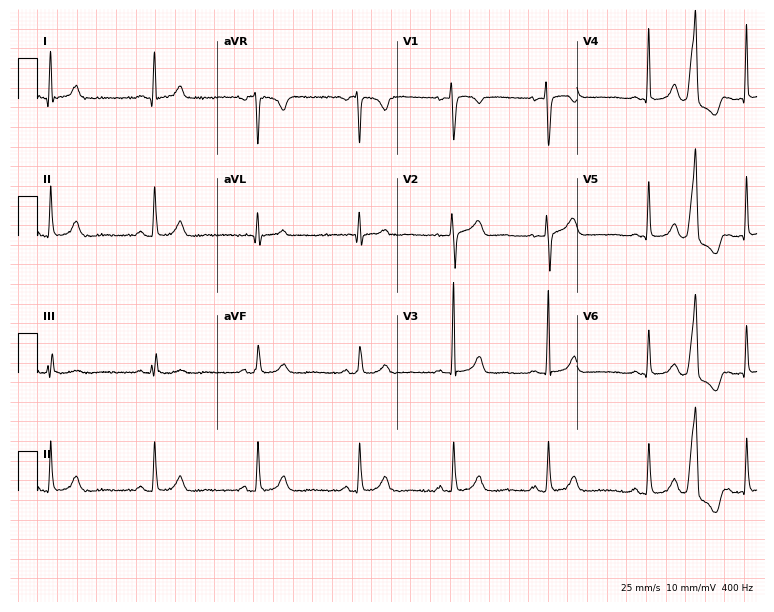
ECG (7.3-second recording at 400 Hz) — a 33-year-old woman. Screened for six findings — first-degree AV block, right bundle branch block, left bundle branch block, sinus bradycardia, atrial fibrillation, sinus tachycardia — none is recorded.